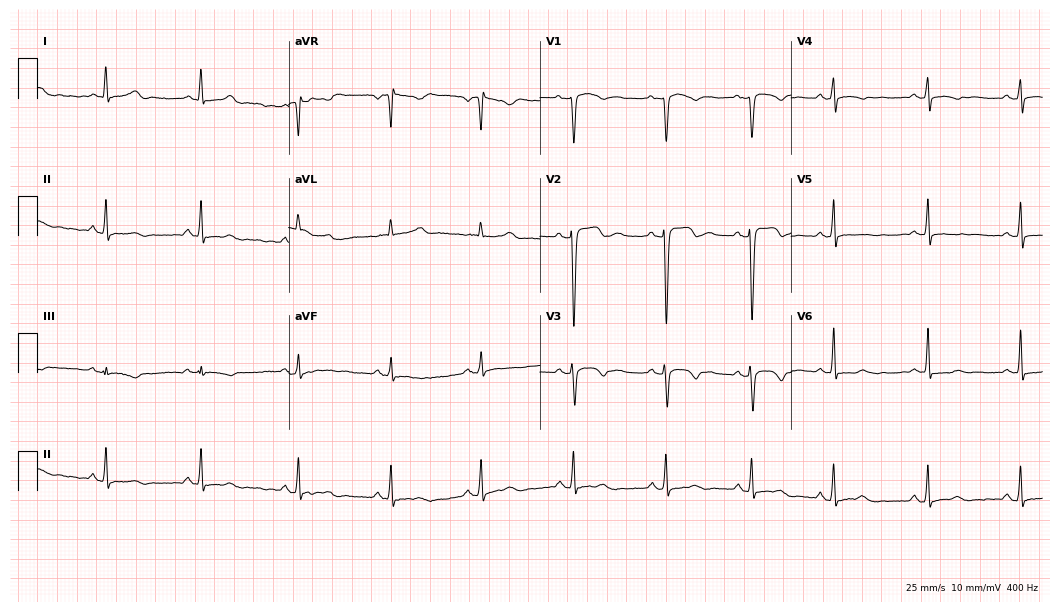
Standard 12-lead ECG recorded from a female, 25 years old (10.2-second recording at 400 Hz). None of these six findings is recorded: first-degree AV block, right bundle branch block, left bundle branch block, sinus bradycardia, atrial fibrillation, sinus tachycardia. Findings outside these six are not listed.